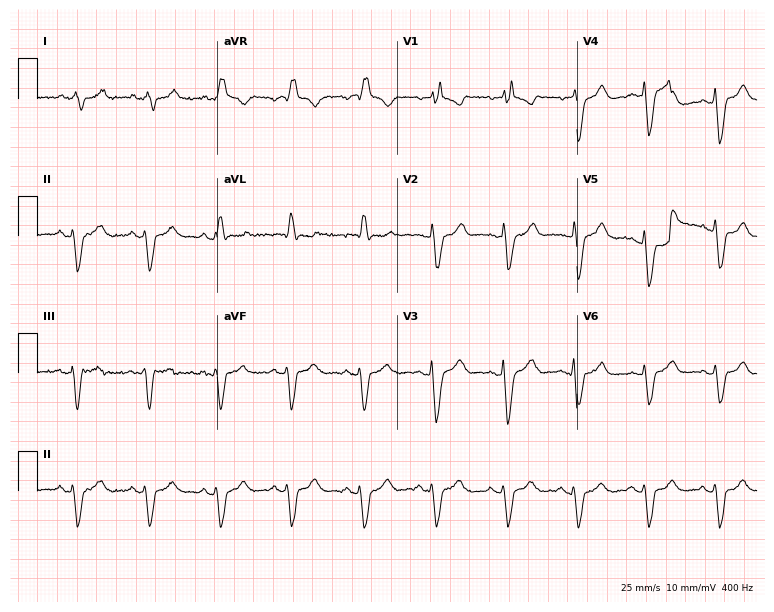
12-lead ECG (7.3-second recording at 400 Hz) from a 79-year-old man. Findings include right bundle branch block, left bundle branch block.